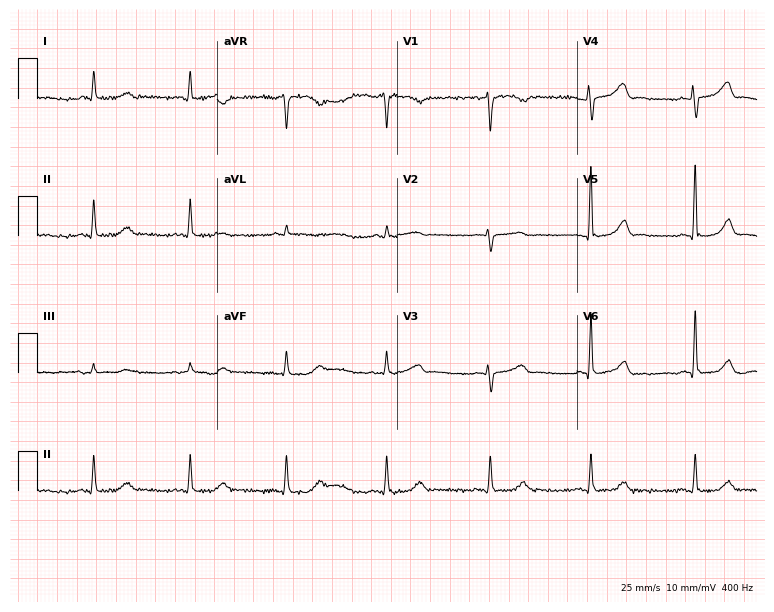
12-lead ECG from a 61-year-old woman. Labelled as a normal ECG.